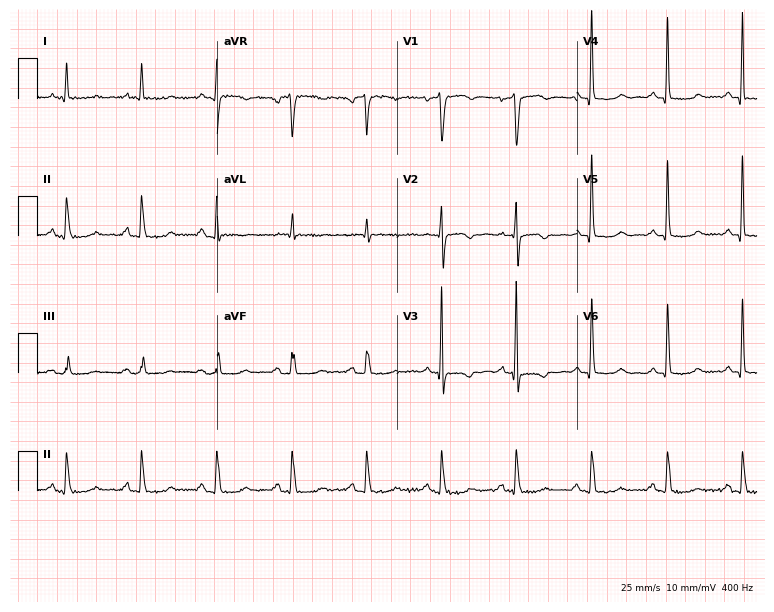
Resting 12-lead electrocardiogram (7.3-second recording at 400 Hz). Patient: a woman, 75 years old. None of these six findings is recorded: first-degree AV block, right bundle branch block, left bundle branch block, sinus bradycardia, atrial fibrillation, sinus tachycardia. Findings outside these six are not listed.